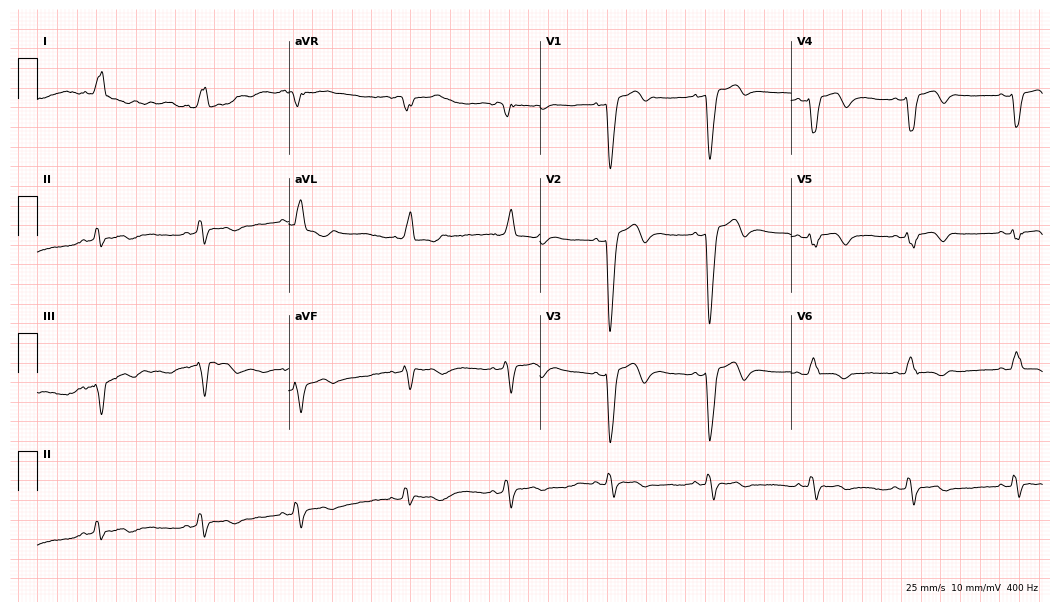
12-lead ECG (10.2-second recording at 400 Hz) from a female patient, 47 years old. Findings include left bundle branch block.